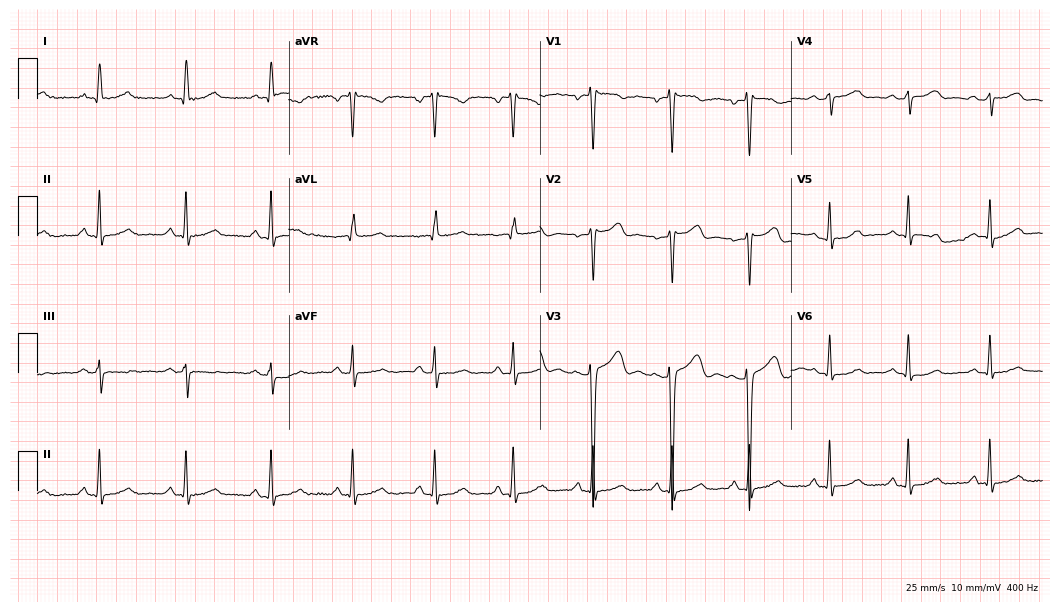
Standard 12-lead ECG recorded from a woman, 40 years old (10.2-second recording at 400 Hz). Read as a normal ECG.